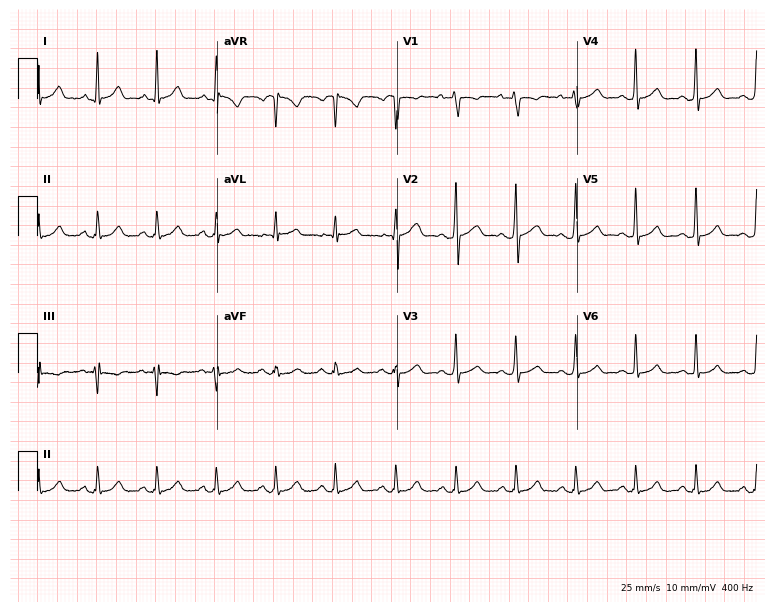
Electrocardiogram (7.3-second recording at 400 Hz), a 25-year-old male patient. Overall reading on record: normal ECG.